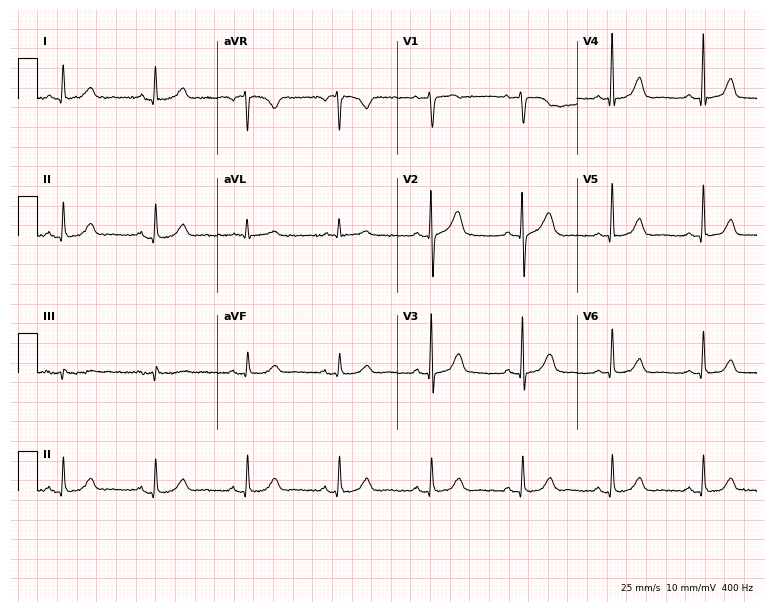
12-lead ECG from a female, 69 years old. Labelled as a normal ECG.